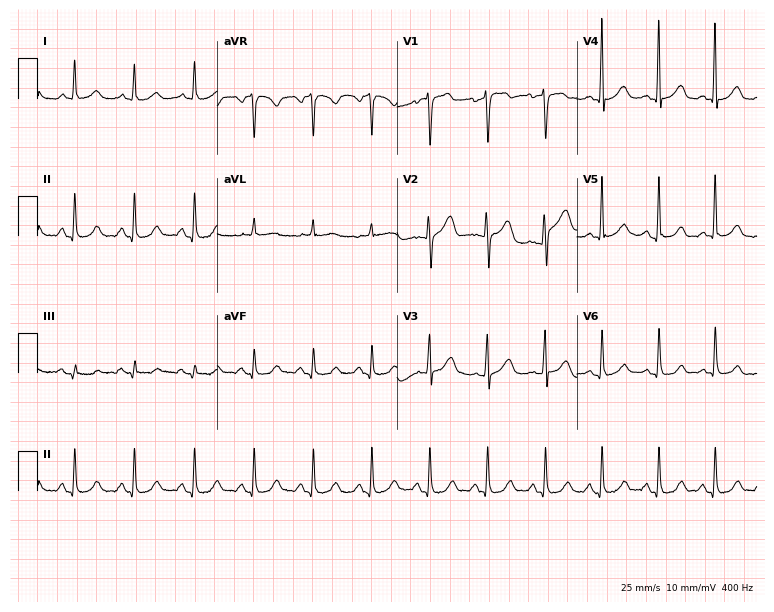
ECG — a 42-year-old female patient. Findings include sinus tachycardia (a sinus rate of 100 beats per minute or more).